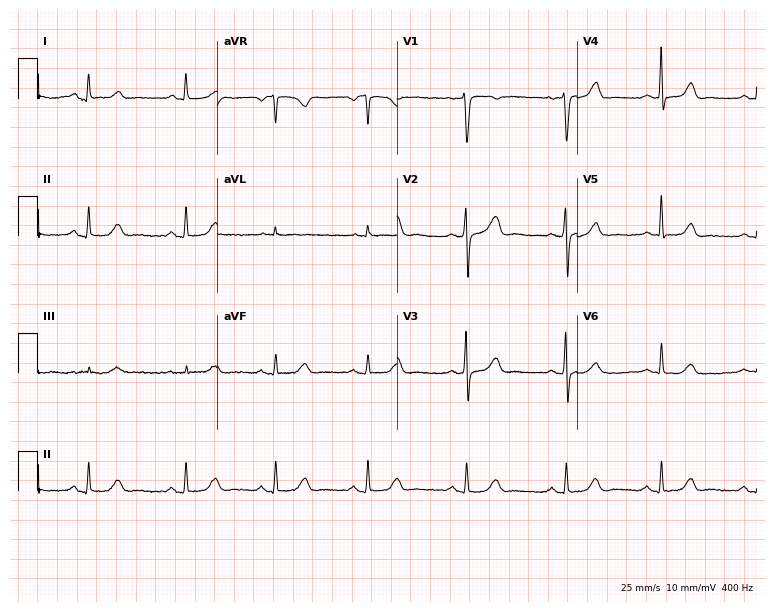
Standard 12-lead ECG recorded from a 47-year-old woman (7.3-second recording at 400 Hz). Read as a normal ECG.